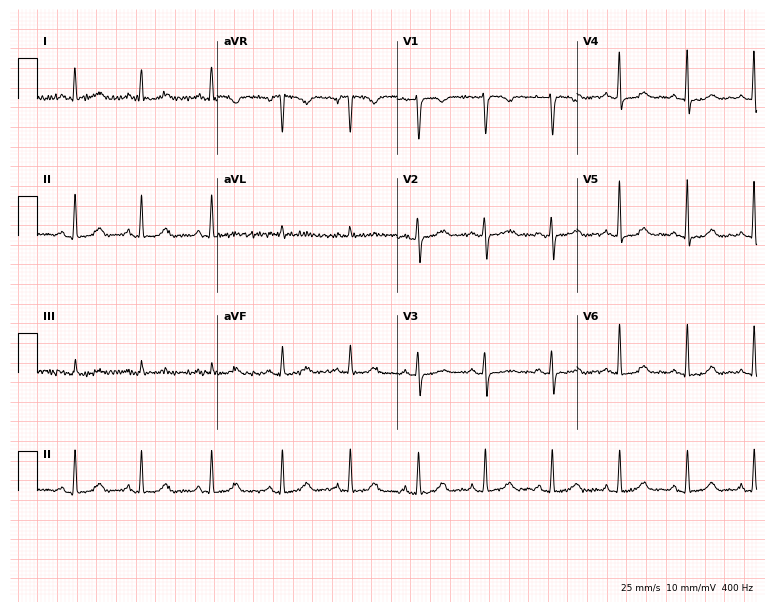
Standard 12-lead ECG recorded from a 48-year-old female patient. Read as a normal ECG.